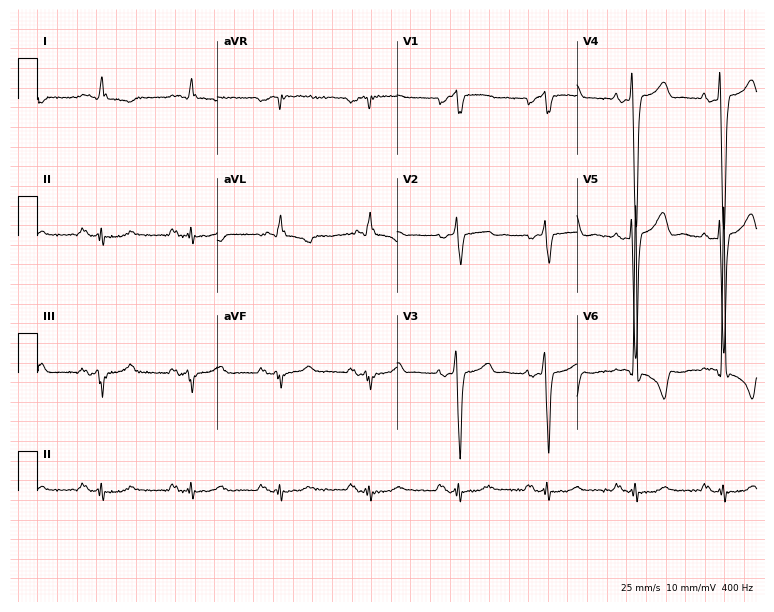
12-lead ECG from a 59-year-old male patient. No first-degree AV block, right bundle branch block (RBBB), left bundle branch block (LBBB), sinus bradycardia, atrial fibrillation (AF) or sinus tachycardia recorded for this tracing. Only these six findings were labelled.